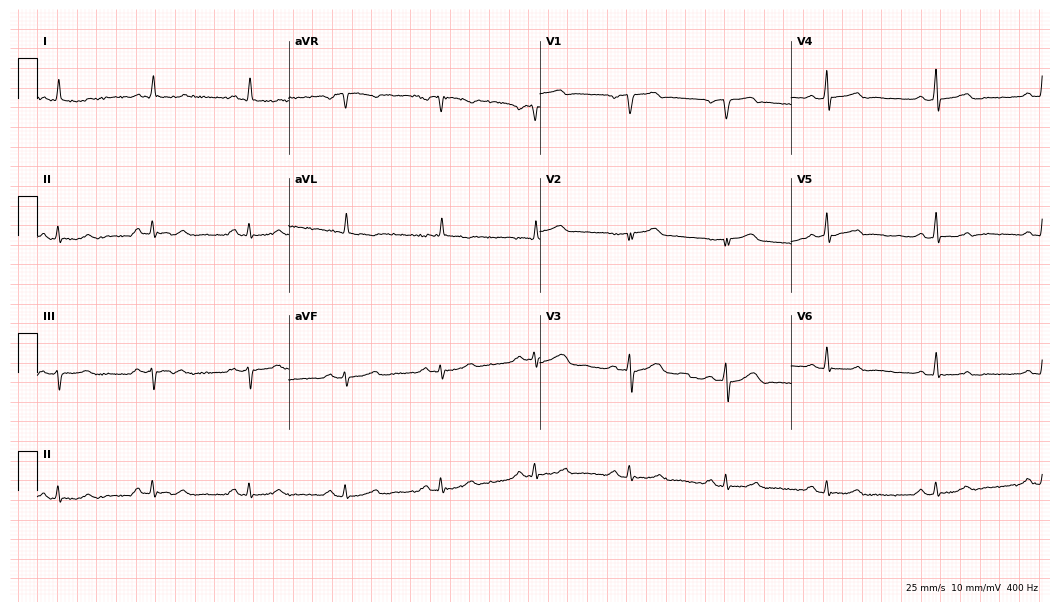
Standard 12-lead ECG recorded from a 68-year-old male patient (10.2-second recording at 400 Hz). Read as a normal ECG.